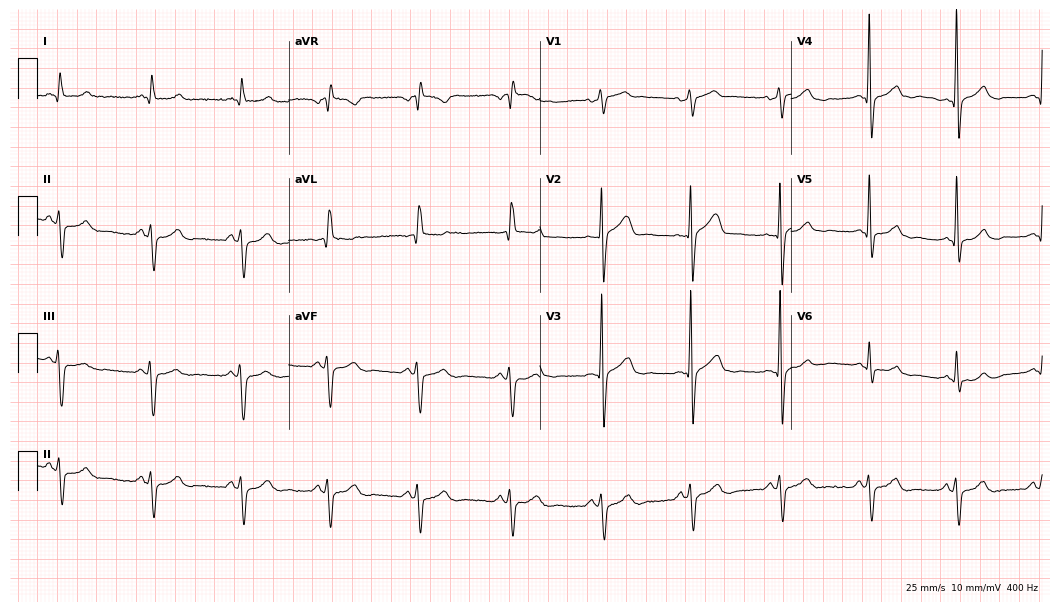
Electrocardiogram (10.2-second recording at 400 Hz), a male, 59 years old. Of the six screened findings (first-degree AV block, right bundle branch block, left bundle branch block, sinus bradycardia, atrial fibrillation, sinus tachycardia), none is recorded.